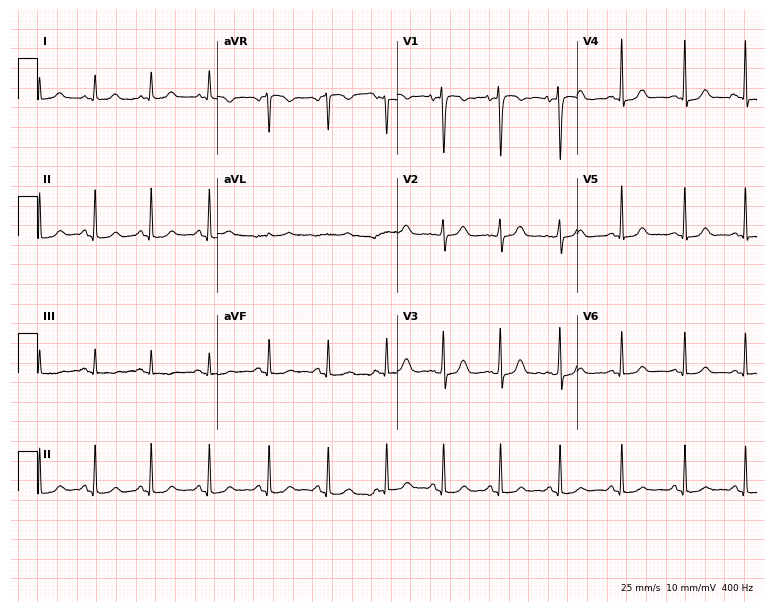
ECG — a female, 38 years old. Screened for six findings — first-degree AV block, right bundle branch block, left bundle branch block, sinus bradycardia, atrial fibrillation, sinus tachycardia — none is recorded. Other findings, if any, are not listed.